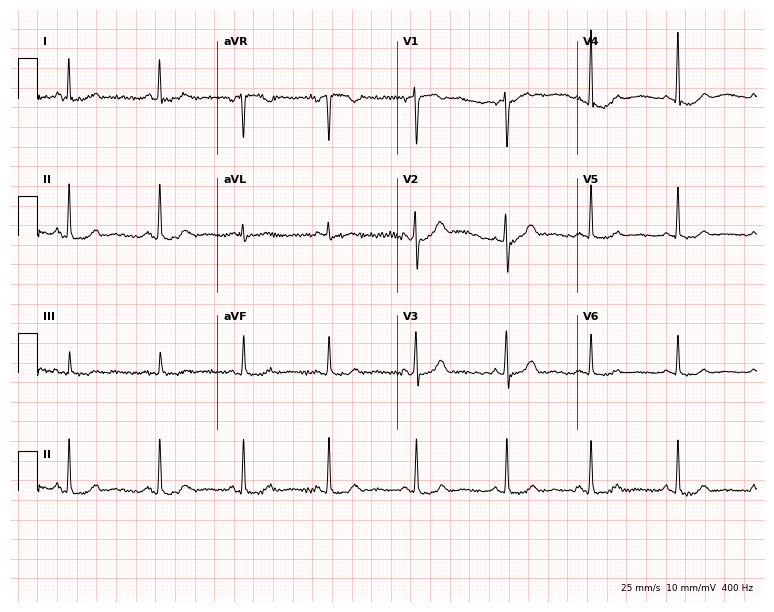
12-lead ECG from a 44-year-old female patient. No first-degree AV block, right bundle branch block, left bundle branch block, sinus bradycardia, atrial fibrillation or sinus tachycardia recorded for this tracing.